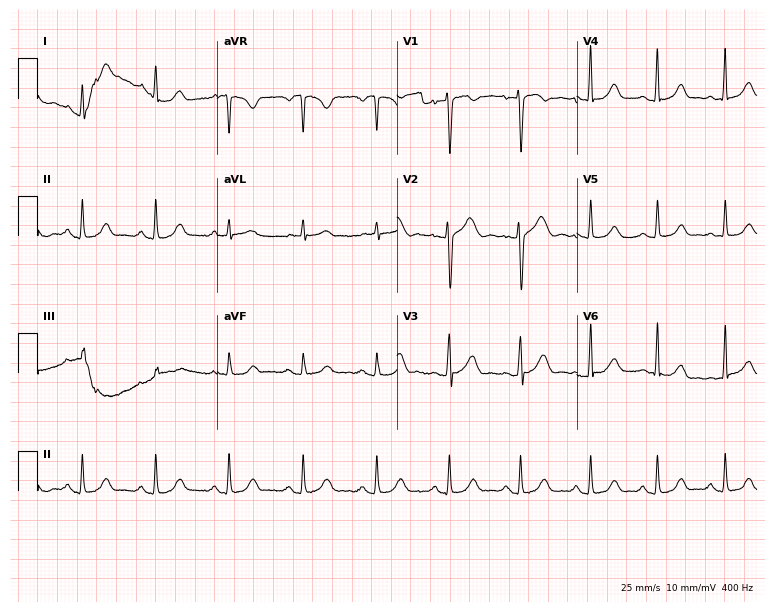
12-lead ECG from a man, 41 years old. Recorded interpretation: within normal limits.